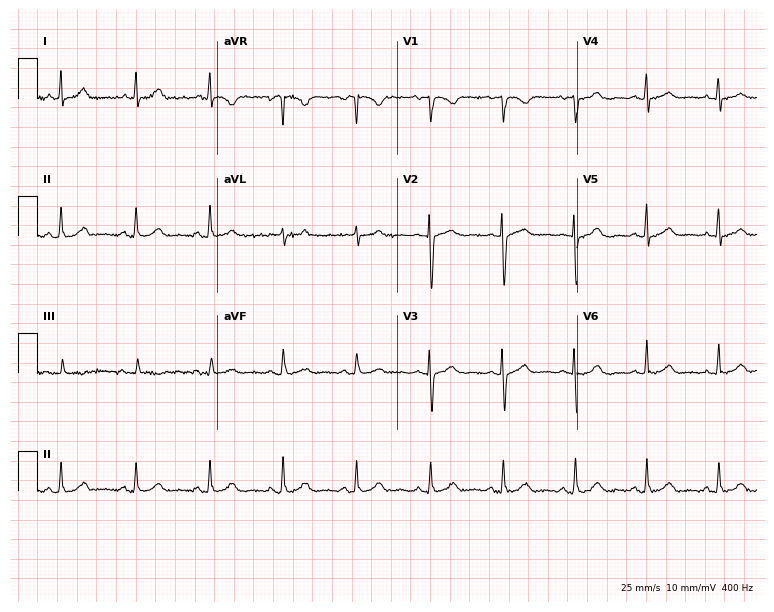
ECG (7.3-second recording at 400 Hz) — a woman, 49 years old. Labelled as a normal ECG.